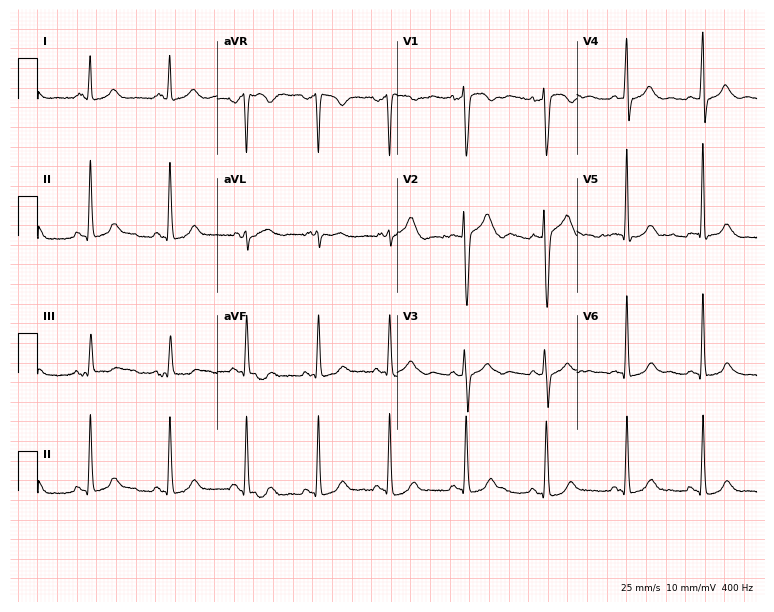
12-lead ECG from a 37-year-old female patient (7.3-second recording at 400 Hz). No first-degree AV block, right bundle branch block (RBBB), left bundle branch block (LBBB), sinus bradycardia, atrial fibrillation (AF) or sinus tachycardia recorded for this tracing.